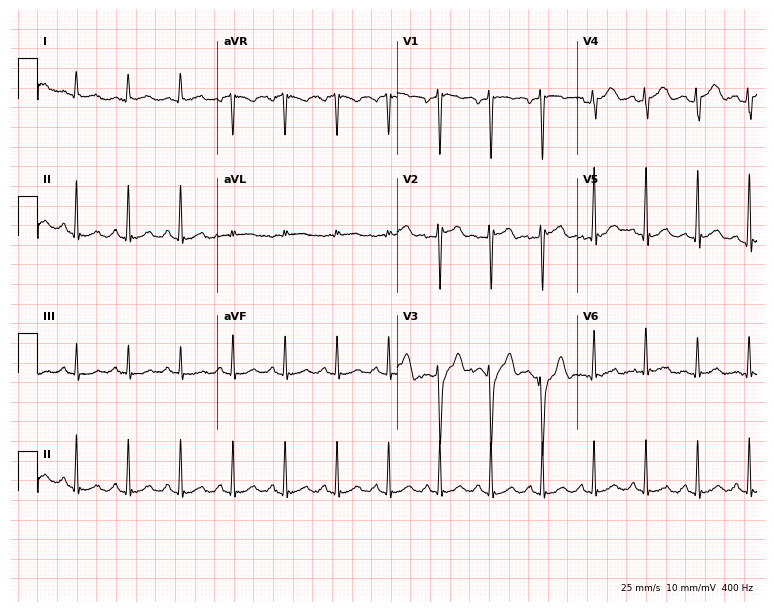
Resting 12-lead electrocardiogram. Patient: a 31-year-old male. The tracing shows sinus tachycardia (a sinus rate of 100 beats per minute or more).